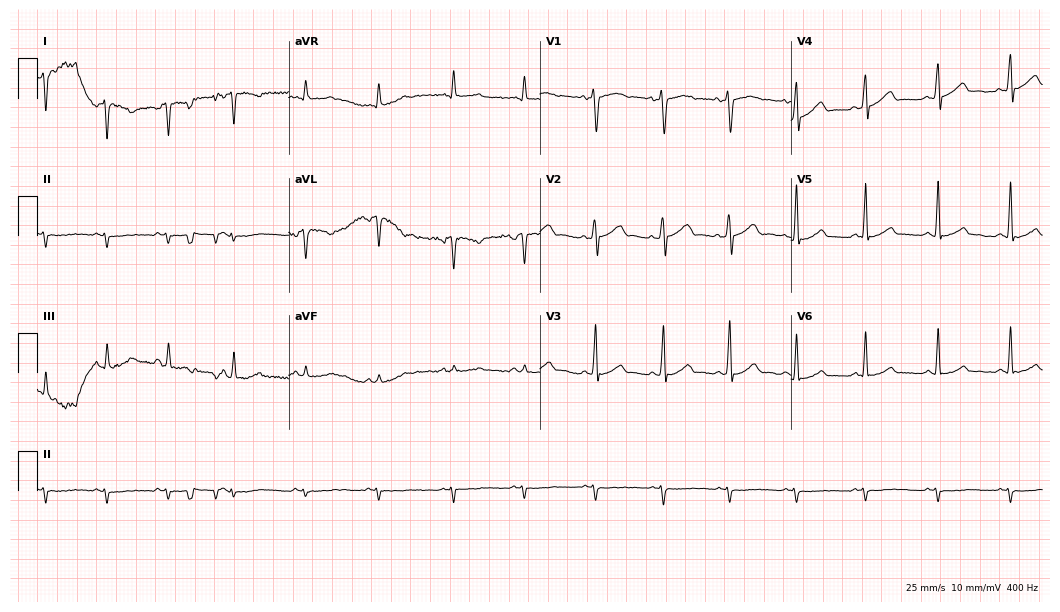
12-lead ECG from a woman, 27 years old (10.2-second recording at 400 Hz). No first-degree AV block, right bundle branch block (RBBB), left bundle branch block (LBBB), sinus bradycardia, atrial fibrillation (AF) or sinus tachycardia recorded for this tracing. Findings outside these six are not listed.